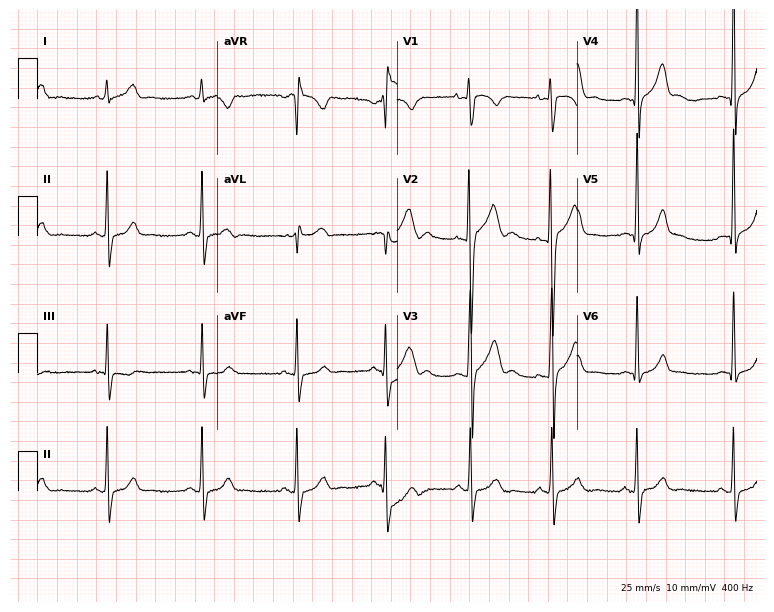
Electrocardiogram, a male patient, 18 years old. Of the six screened findings (first-degree AV block, right bundle branch block, left bundle branch block, sinus bradycardia, atrial fibrillation, sinus tachycardia), none is recorded.